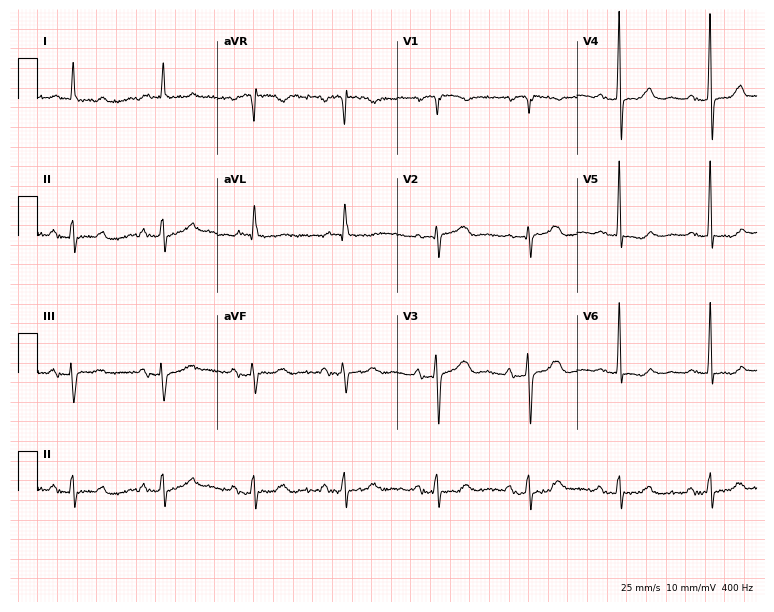
12-lead ECG (7.3-second recording at 400 Hz) from an 80-year-old woman. Screened for six findings — first-degree AV block, right bundle branch block, left bundle branch block, sinus bradycardia, atrial fibrillation, sinus tachycardia — none is recorded.